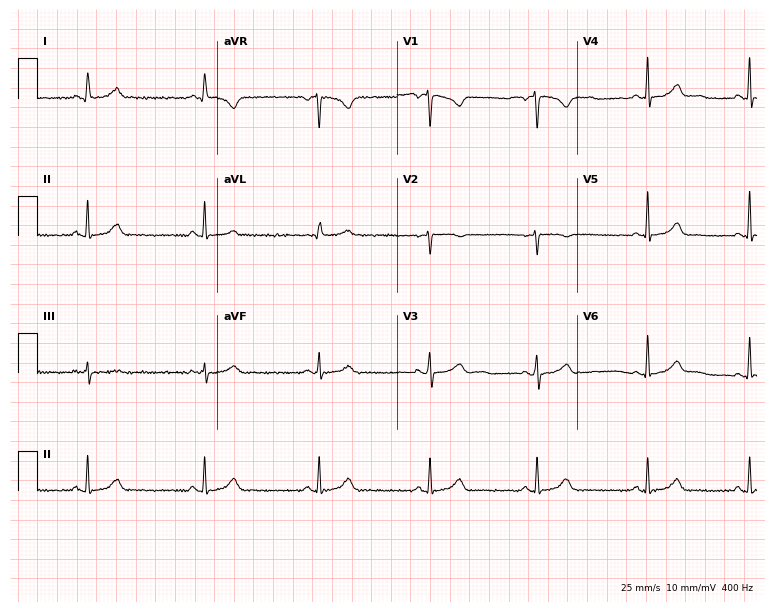
12-lead ECG from a female, 49 years old (7.3-second recording at 400 Hz). Recorded interpretation: within normal limits.